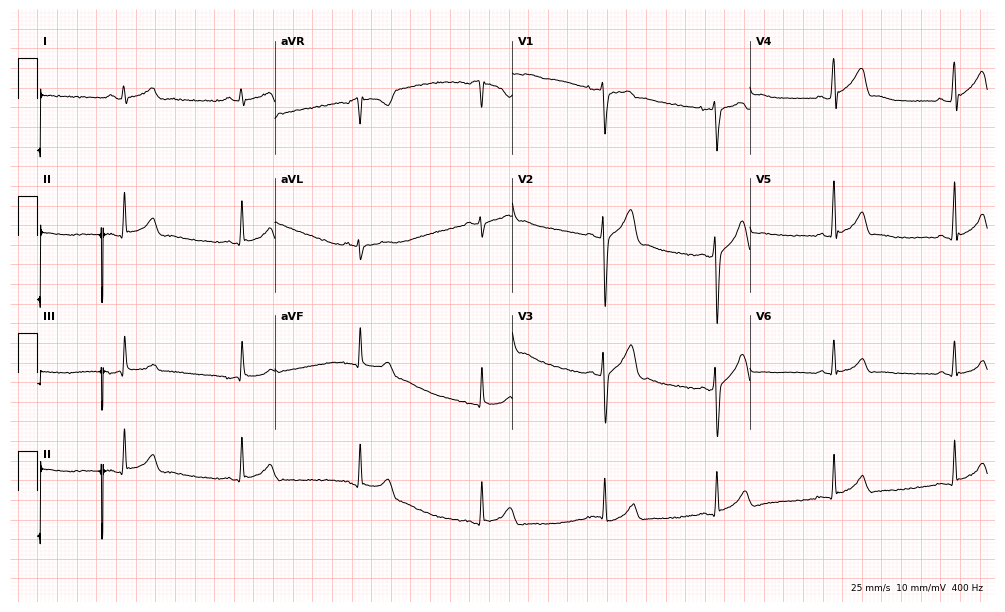
ECG (9.7-second recording at 400 Hz) — a man, 30 years old. Labelled as a normal ECG.